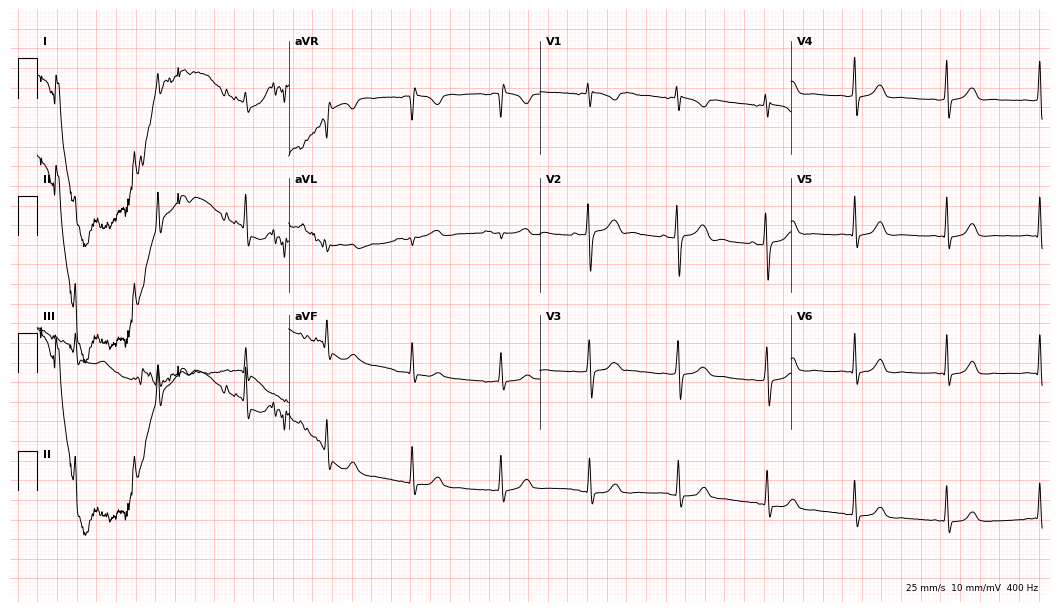
12-lead ECG (10.2-second recording at 400 Hz) from a female patient, 26 years old. Screened for six findings — first-degree AV block, right bundle branch block, left bundle branch block, sinus bradycardia, atrial fibrillation, sinus tachycardia — none is recorded.